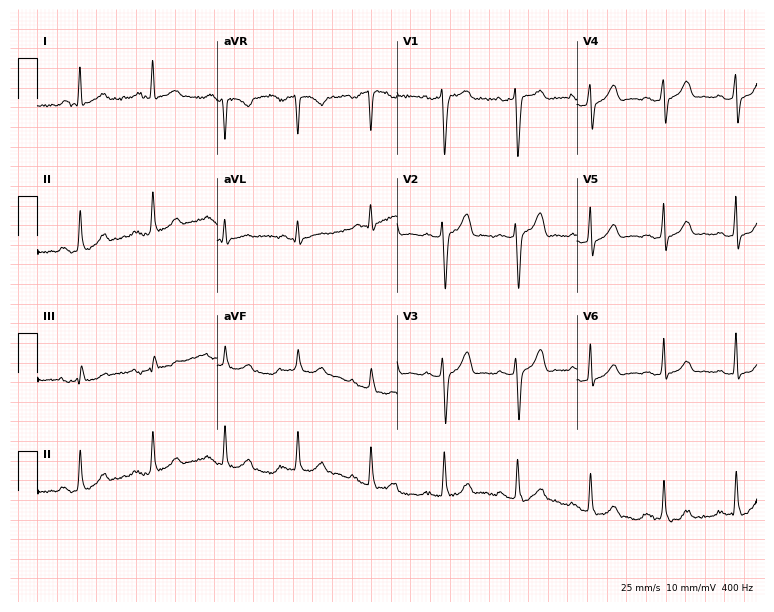
Standard 12-lead ECG recorded from a female, 63 years old (7.3-second recording at 400 Hz). None of these six findings is recorded: first-degree AV block, right bundle branch block (RBBB), left bundle branch block (LBBB), sinus bradycardia, atrial fibrillation (AF), sinus tachycardia. Findings outside these six are not listed.